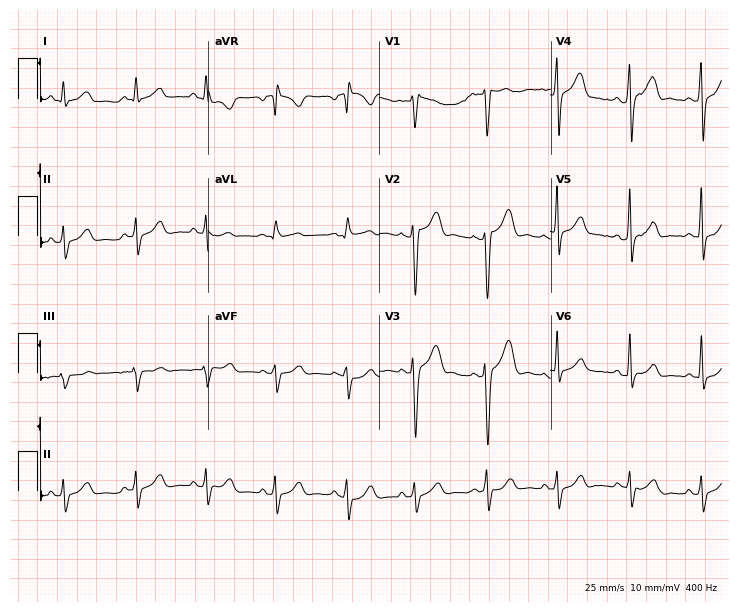
12-lead ECG from a 20-year-old male. Labelled as a normal ECG.